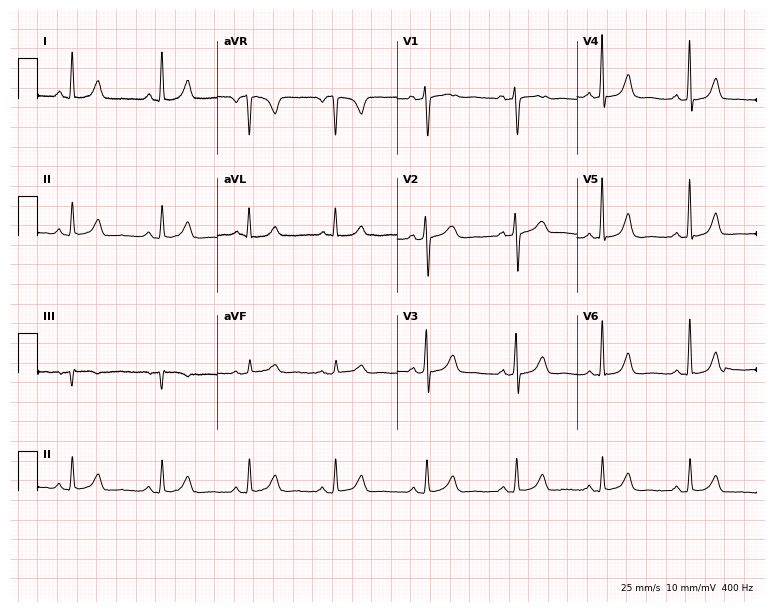
12-lead ECG from a woman, 64 years old. No first-degree AV block, right bundle branch block, left bundle branch block, sinus bradycardia, atrial fibrillation or sinus tachycardia recorded for this tracing.